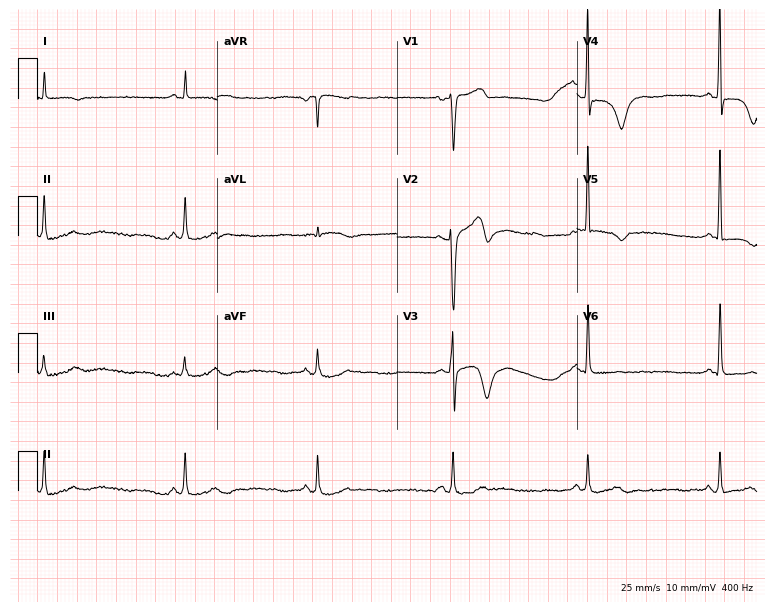
ECG — a 74-year-old male patient. Screened for six findings — first-degree AV block, right bundle branch block (RBBB), left bundle branch block (LBBB), sinus bradycardia, atrial fibrillation (AF), sinus tachycardia — none is recorded.